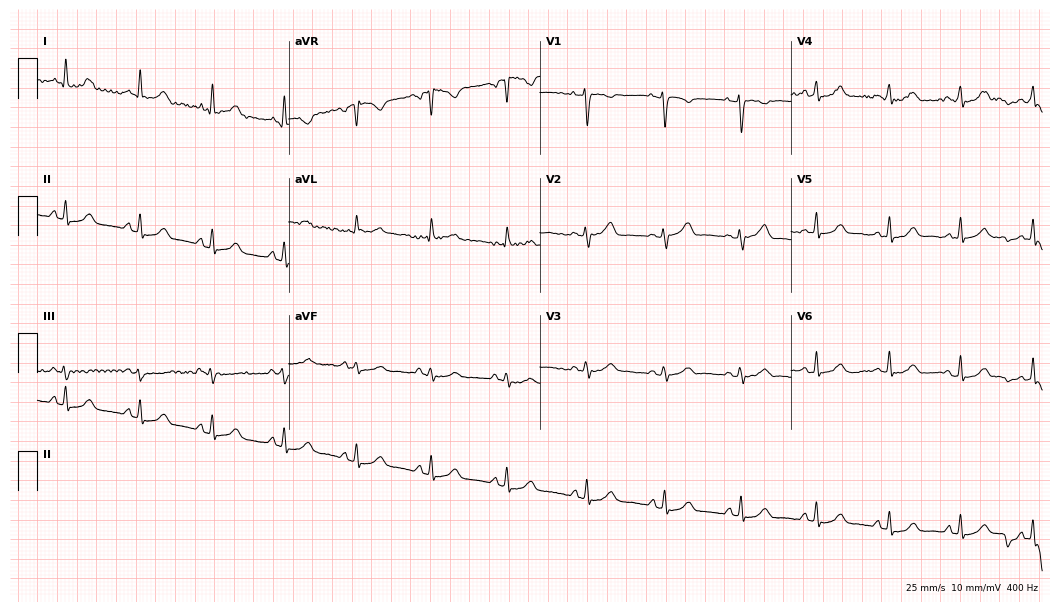
12-lead ECG from a female patient, 60 years old. Labelled as a normal ECG.